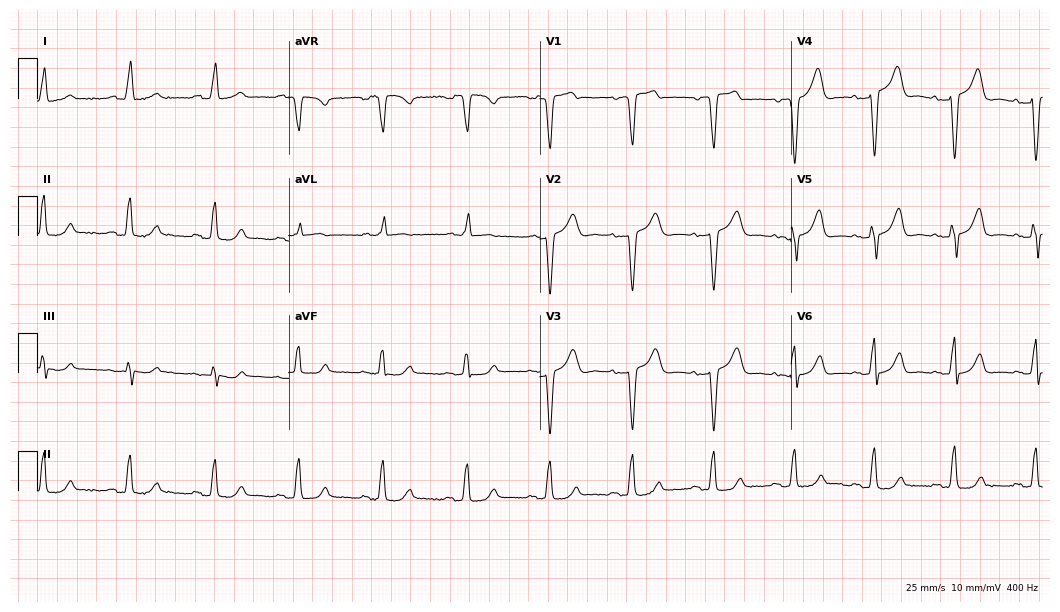
Electrocardiogram, a 73-year-old female patient. Of the six screened findings (first-degree AV block, right bundle branch block, left bundle branch block, sinus bradycardia, atrial fibrillation, sinus tachycardia), none is recorded.